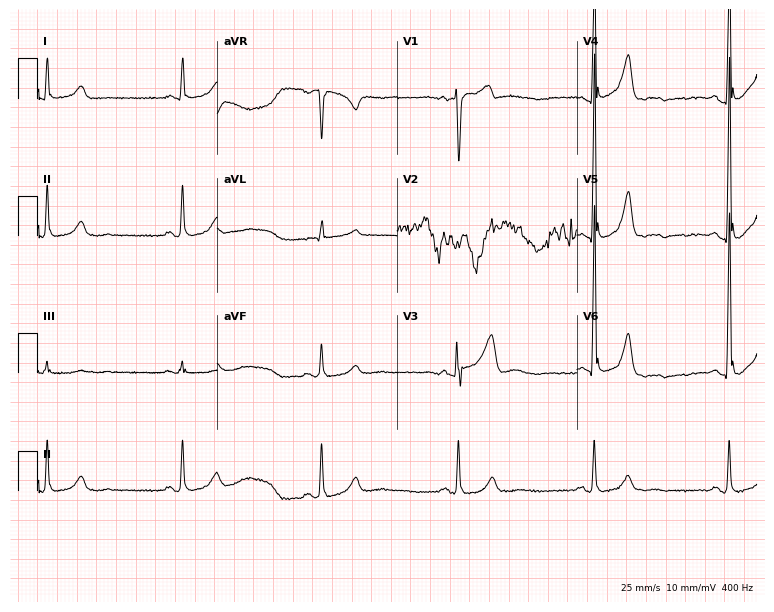
ECG (7.3-second recording at 400 Hz) — a 60-year-old male patient. Findings include right bundle branch block (RBBB).